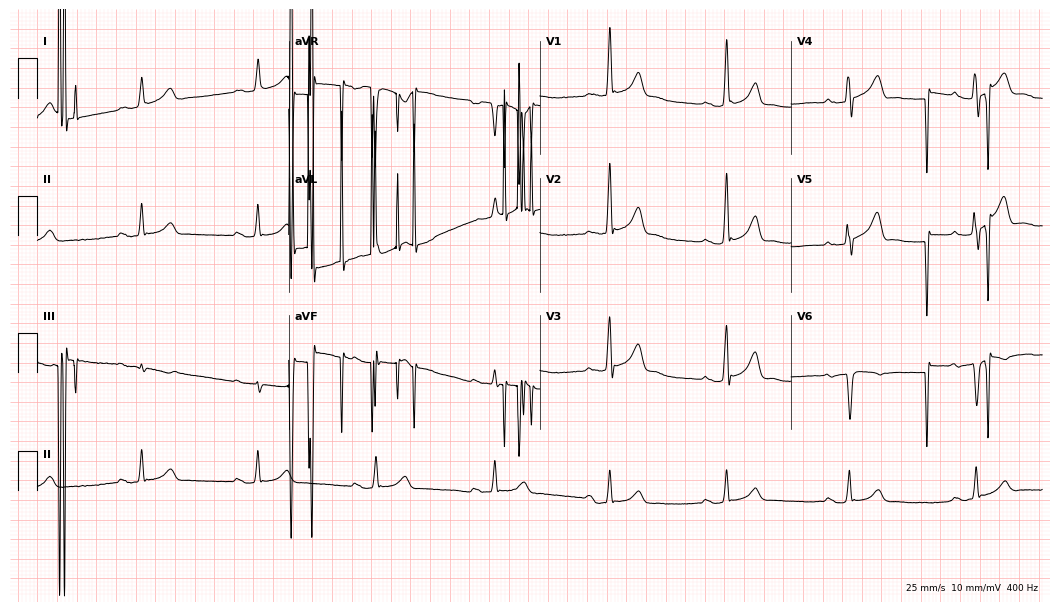
12-lead ECG from a 70-year-old man. Screened for six findings — first-degree AV block, right bundle branch block, left bundle branch block, sinus bradycardia, atrial fibrillation, sinus tachycardia — none is recorded.